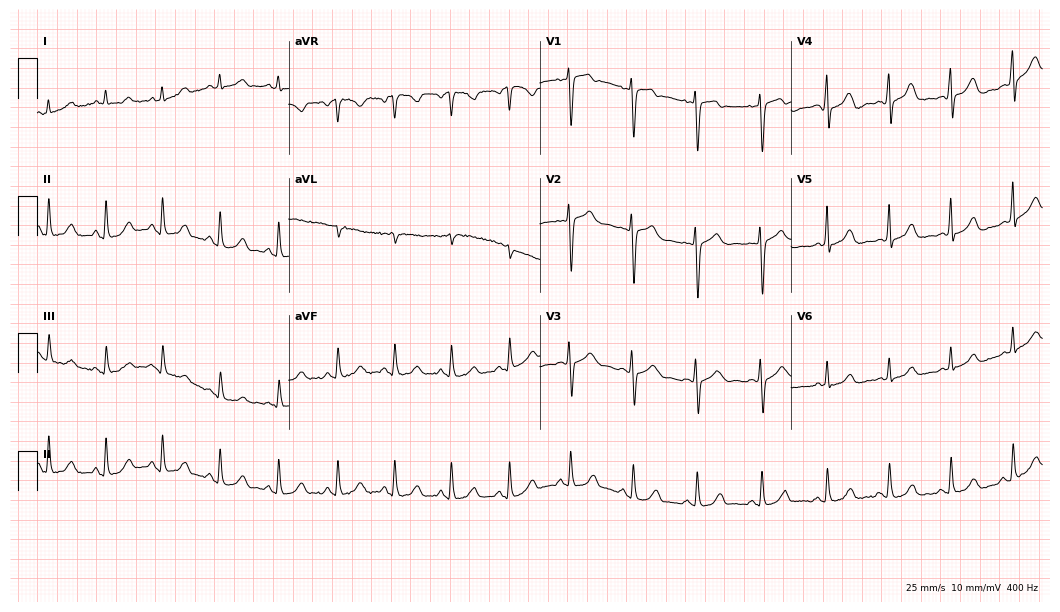
Resting 12-lead electrocardiogram. Patient: a woman, 41 years old. None of these six findings is recorded: first-degree AV block, right bundle branch block (RBBB), left bundle branch block (LBBB), sinus bradycardia, atrial fibrillation (AF), sinus tachycardia.